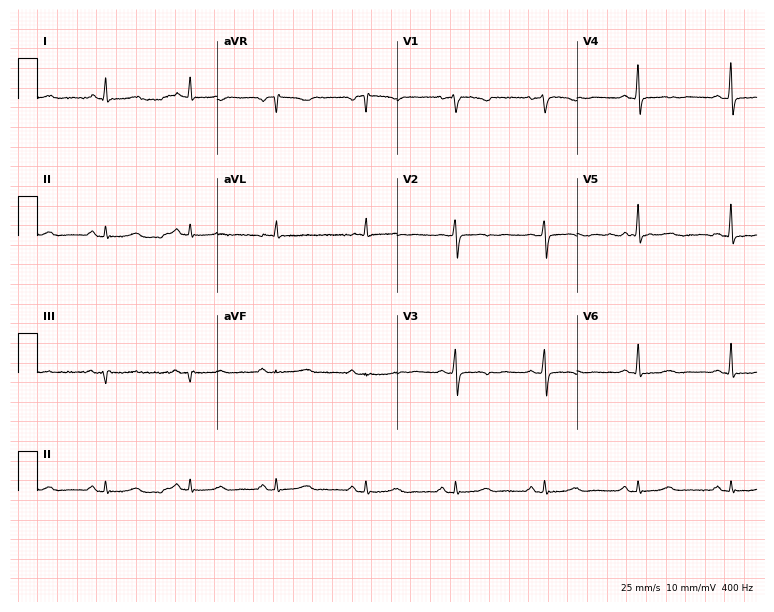
ECG — a 46-year-old female patient. Screened for six findings — first-degree AV block, right bundle branch block, left bundle branch block, sinus bradycardia, atrial fibrillation, sinus tachycardia — none is recorded.